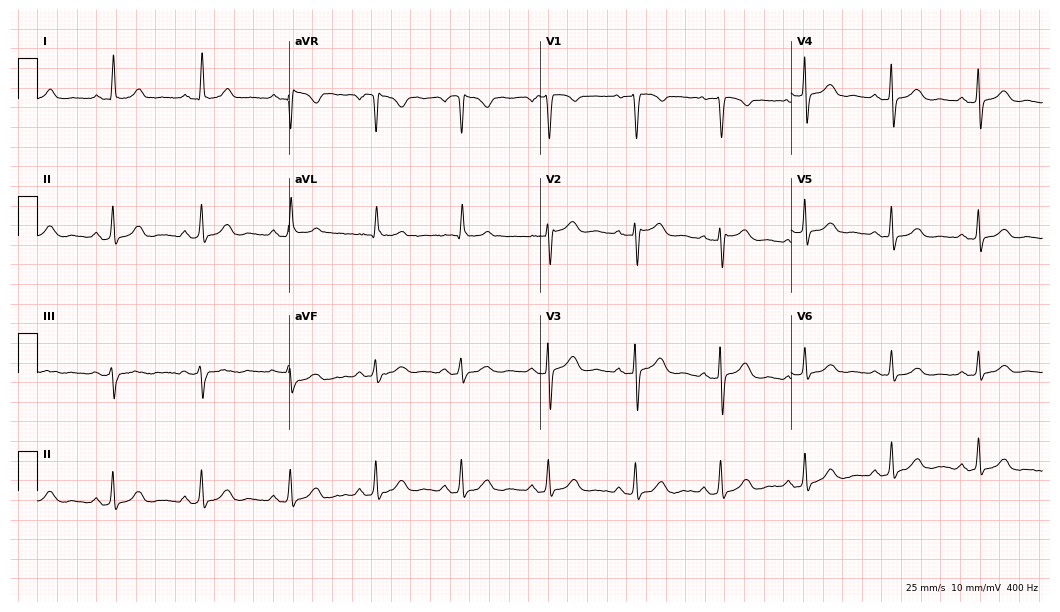
Resting 12-lead electrocardiogram. Patient: a female, 53 years old. Read as a normal ECG.